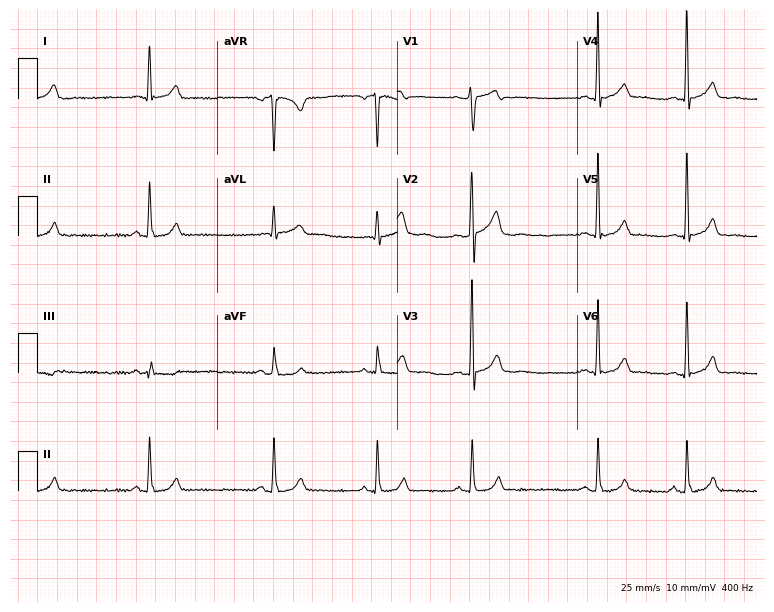
12-lead ECG from a 21-year-old male patient (7.3-second recording at 400 Hz). No first-degree AV block, right bundle branch block, left bundle branch block, sinus bradycardia, atrial fibrillation or sinus tachycardia recorded for this tracing. Findings outside these six are not listed.